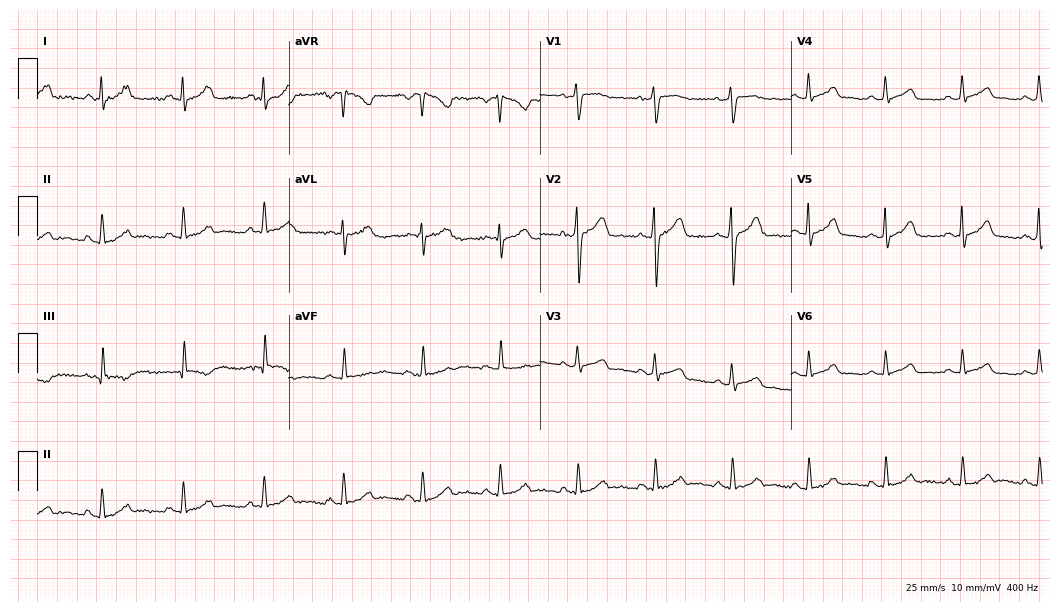
Standard 12-lead ECG recorded from a male patient, 27 years old (10.2-second recording at 400 Hz). Read as a normal ECG.